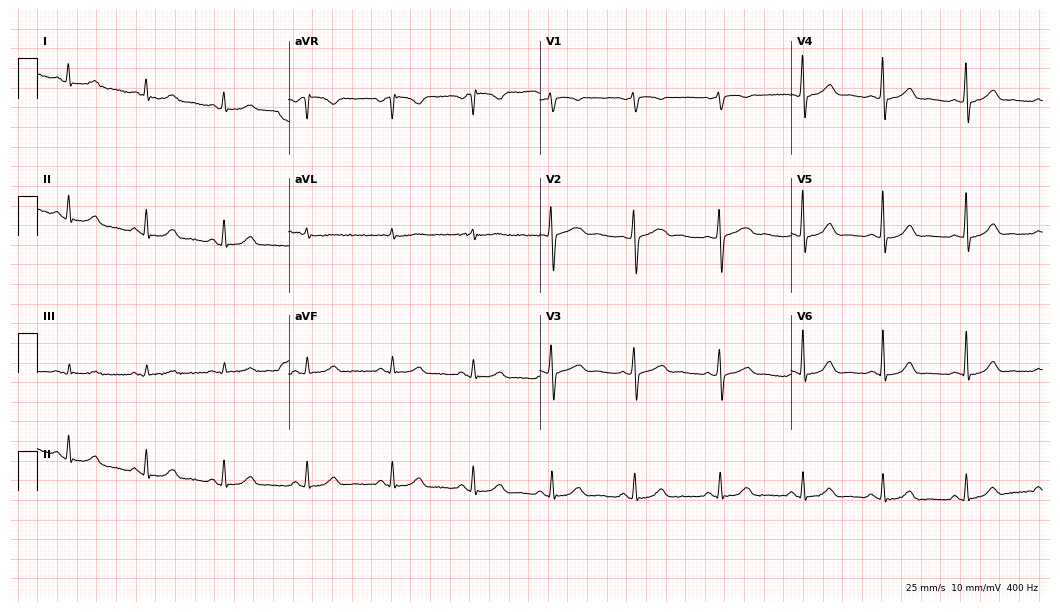
Resting 12-lead electrocardiogram. Patient: a 33-year-old female. Read as a normal ECG.